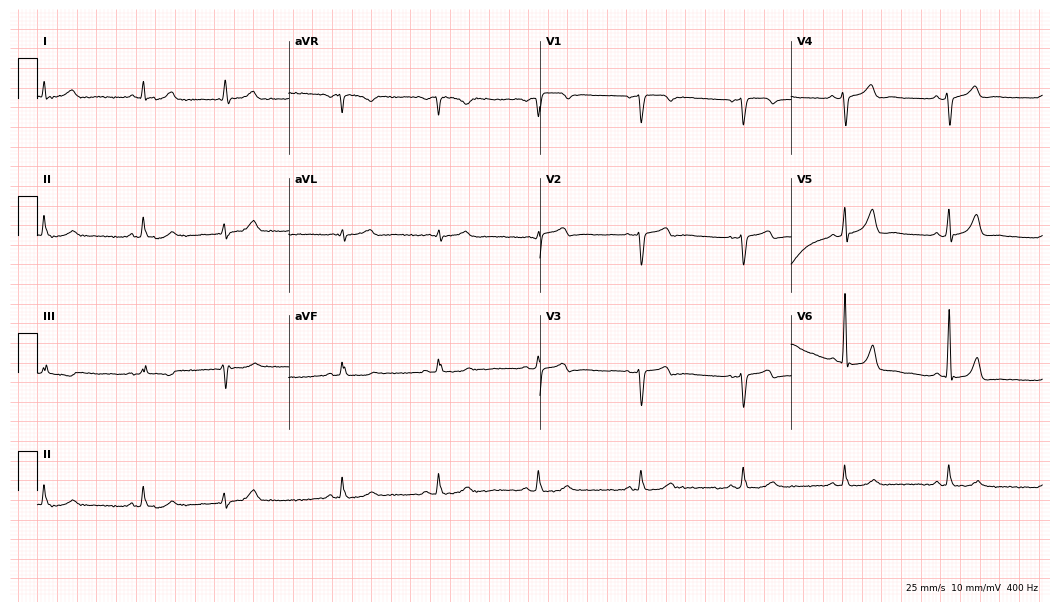
Resting 12-lead electrocardiogram. Patient: a 49-year-old man. None of these six findings is recorded: first-degree AV block, right bundle branch block, left bundle branch block, sinus bradycardia, atrial fibrillation, sinus tachycardia. Findings outside these six are not listed.